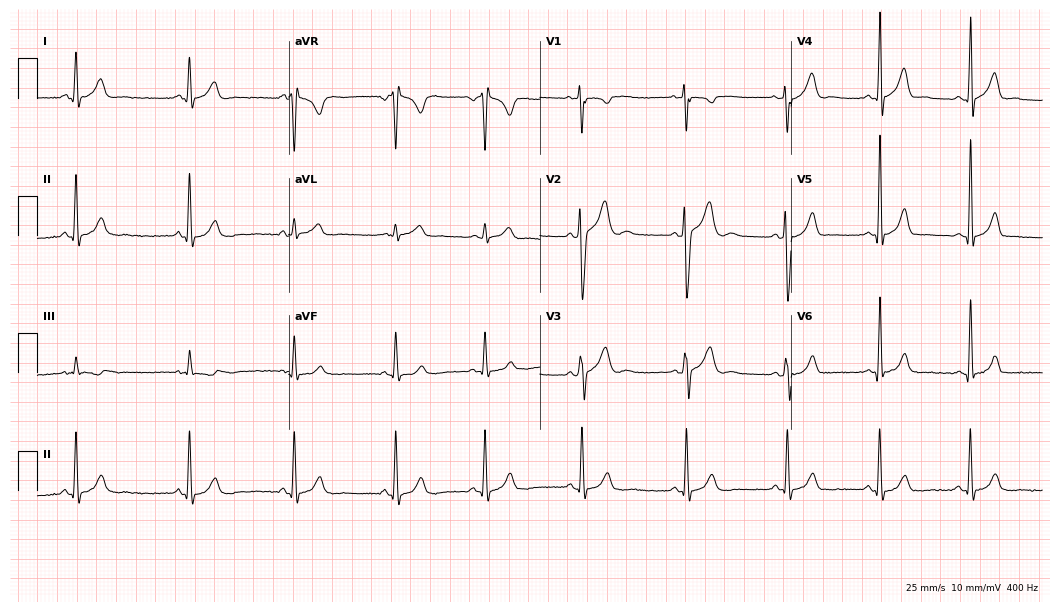
Resting 12-lead electrocardiogram (10.2-second recording at 400 Hz). Patient: a male, 19 years old. None of these six findings is recorded: first-degree AV block, right bundle branch block, left bundle branch block, sinus bradycardia, atrial fibrillation, sinus tachycardia.